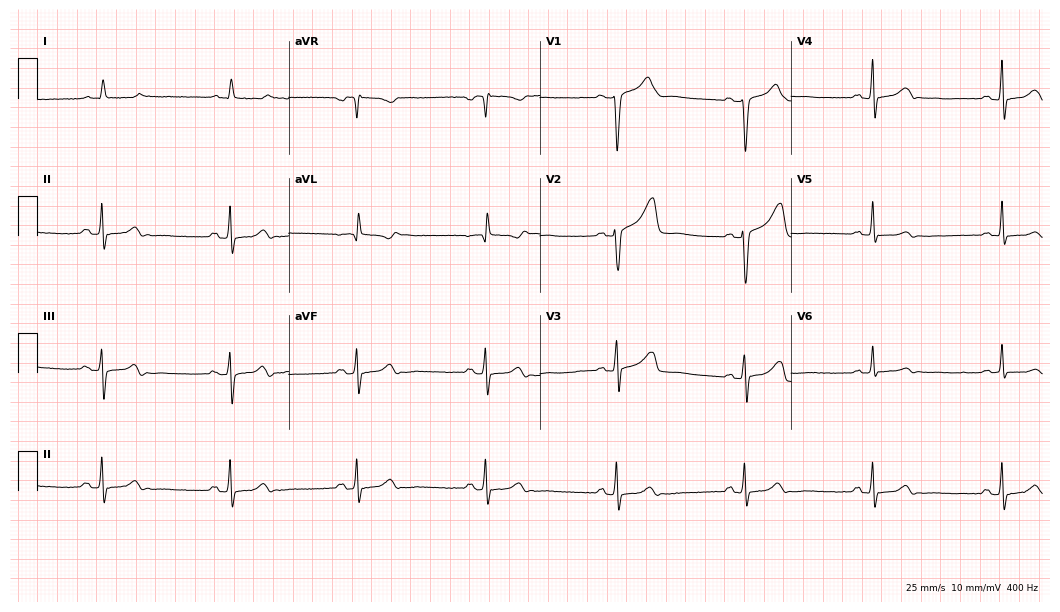
Electrocardiogram, a man, 84 years old. Interpretation includes sinus bradycardia (a sinus rate of 50 beats per minute or less).